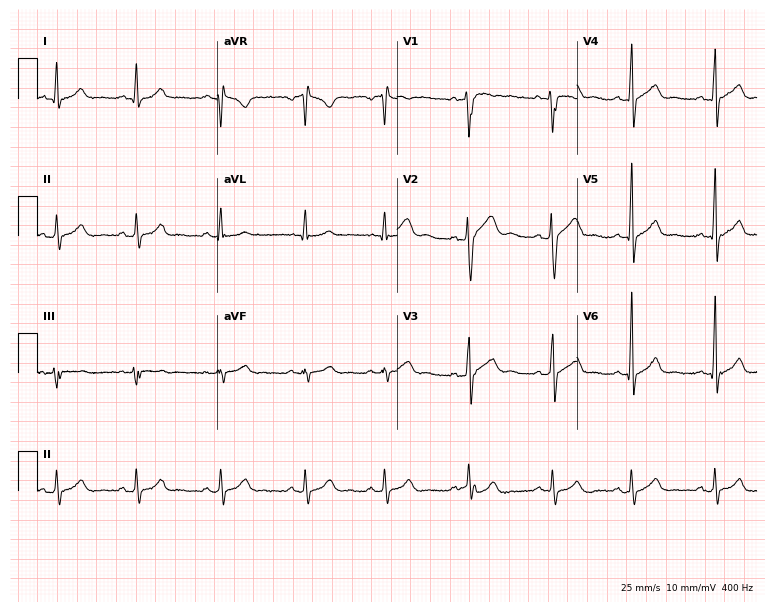
12-lead ECG (7.3-second recording at 400 Hz) from a male, 18 years old. Labelled as a normal ECG.